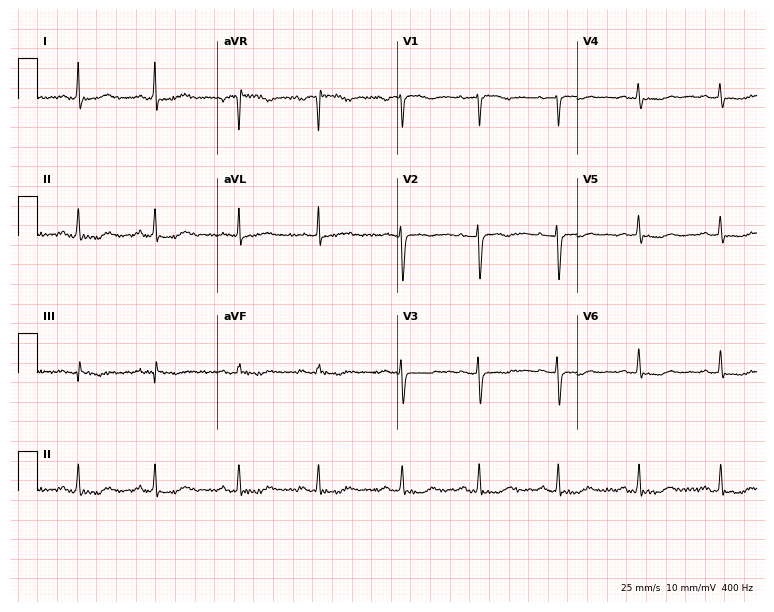
Standard 12-lead ECG recorded from a 61-year-old woman (7.3-second recording at 400 Hz). None of these six findings is recorded: first-degree AV block, right bundle branch block, left bundle branch block, sinus bradycardia, atrial fibrillation, sinus tachycardia.